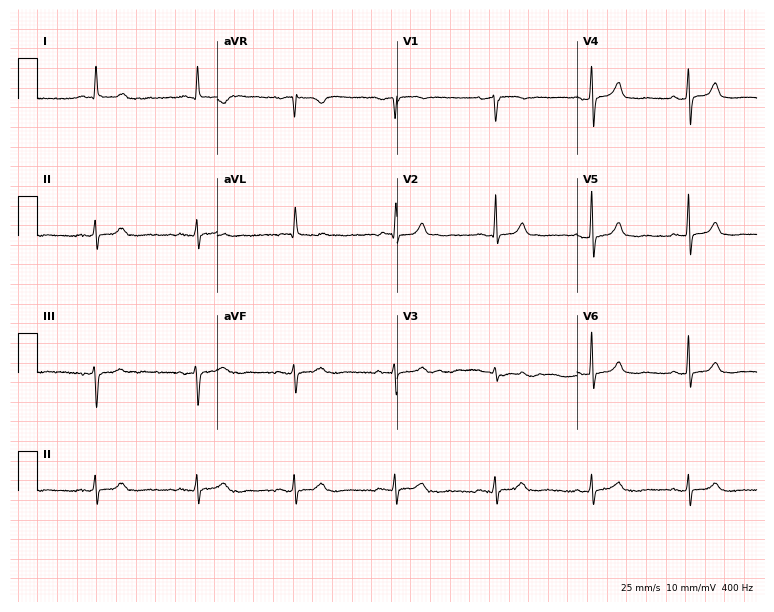
12-lead ECG from a woman, 78 years old (7.3-second recording at 400 Hz). Recorded interpretation: within normal limits.